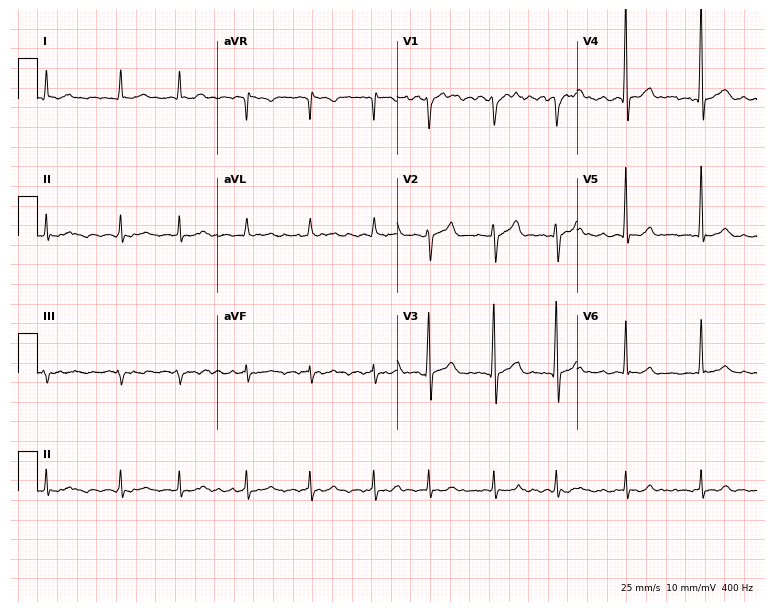
Electrocardiogram, a 73-year-old man. Interpretation includes atrial fibrillation.